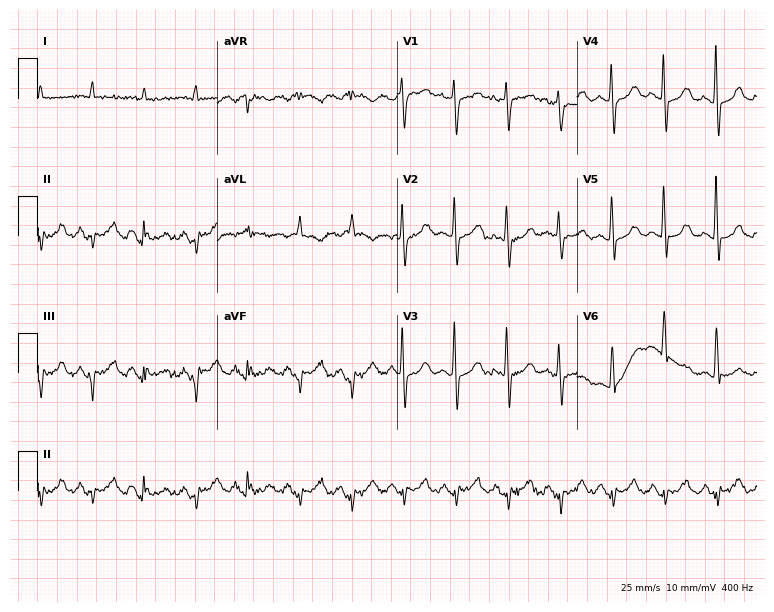
Standard 12-lead ECG recorded from an 83-year-old male patient. None of these six findings is recorded: first-degree AV block, right bundle branch block (RBBB), left bundle branch block (LBBB), sinus bradycardia, atrial fibrillation (AF), sinus tachycardia. Findings outside these six are not listed.